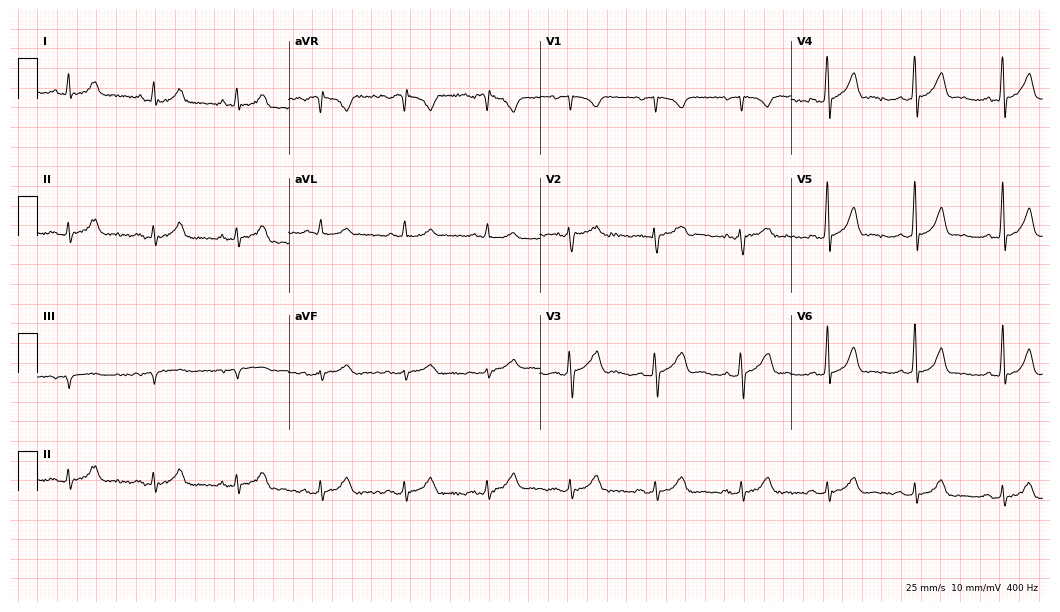
ECG (10.2-second recording at 400 Hz) — a male patient, 43 years old. Labelled as a normal ECG.